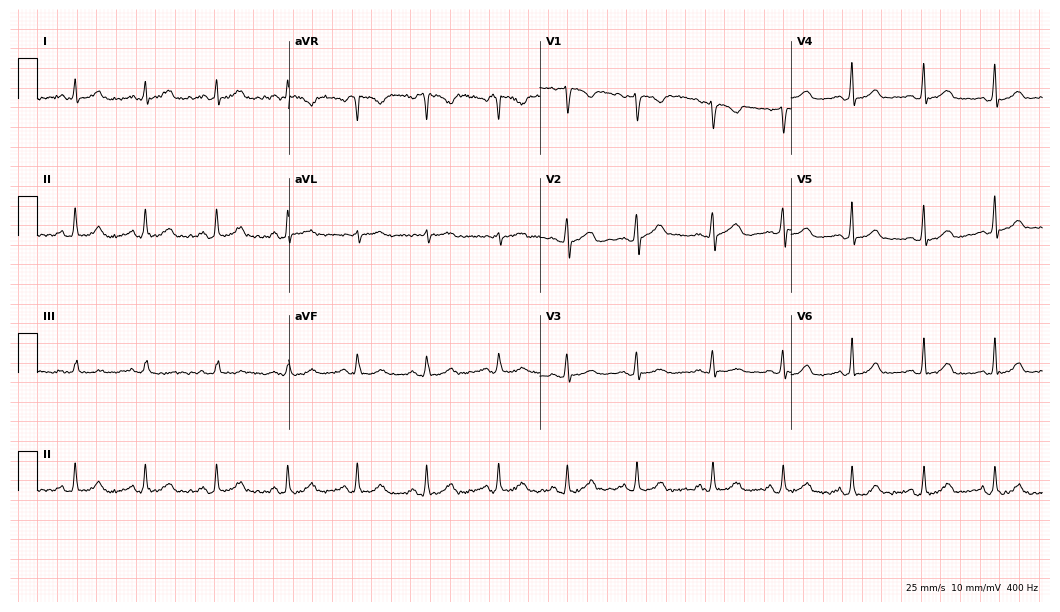
12-lead ECG (10.2-second recording at 400 Hz) from a woman, 27 years old. Labelled as a normal ECG.